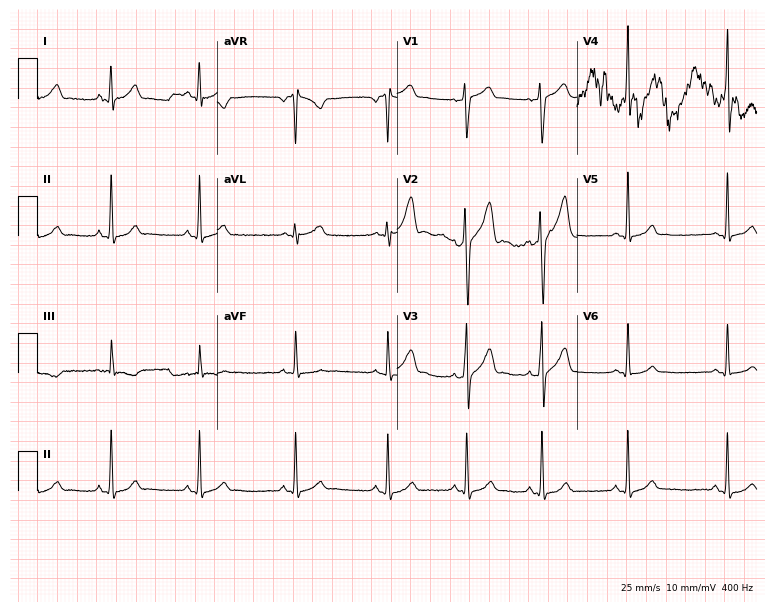
Electrocardiogram (7.3-second recording at 400 Hz), a man, 31 years old. Overall reading on record: normal ECG.